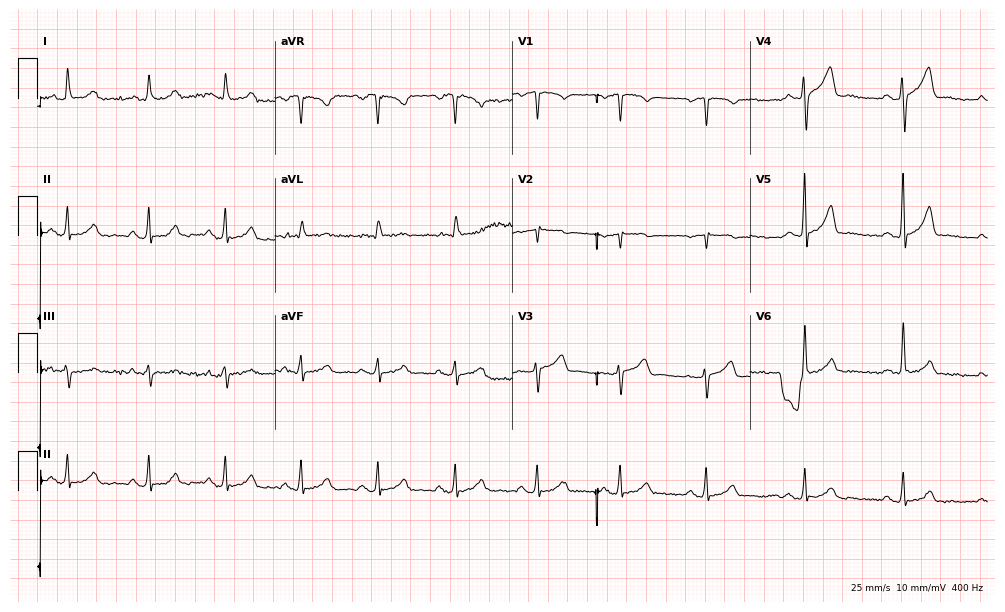
Standard 12-lead ECG recorded from a man, 60 years old. None of these six findings is recorded: first-degree AV block, right bundle branch block (RBBB), left bundle branch block (LBBB), sinus bradycardia, atrial fibrillation (AF), sinus tachycardia. Other findings, if any, are not listed.